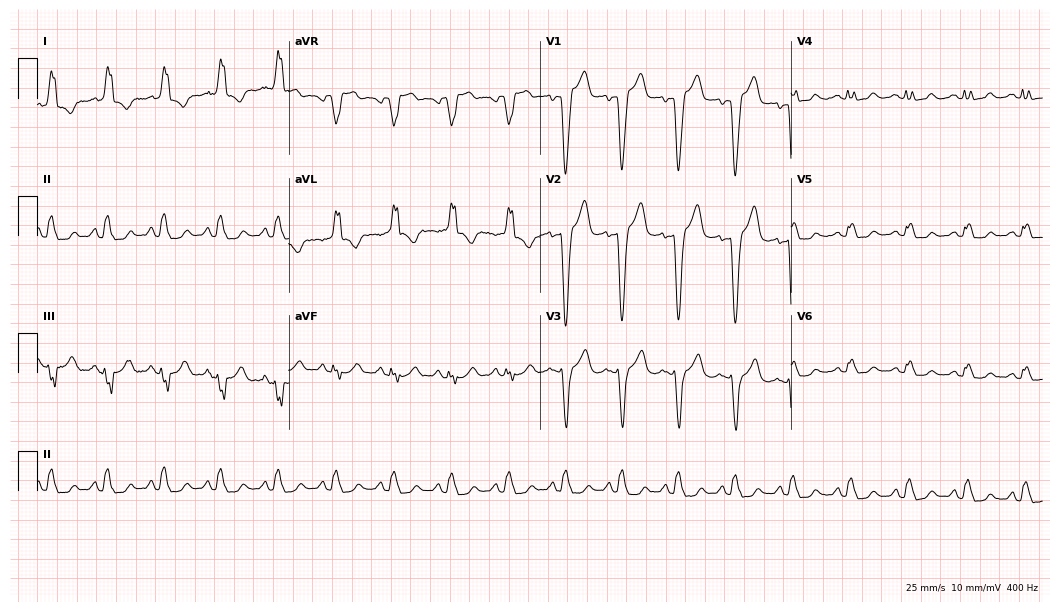
Resting 12-lead electrocardiogram (10.2-second recording at 400 Hz). Patient: a female, 52 years old. The tracing shows left bundle branch block, sinus tachycardia (a sinus rate of 100 beats per minute or more).